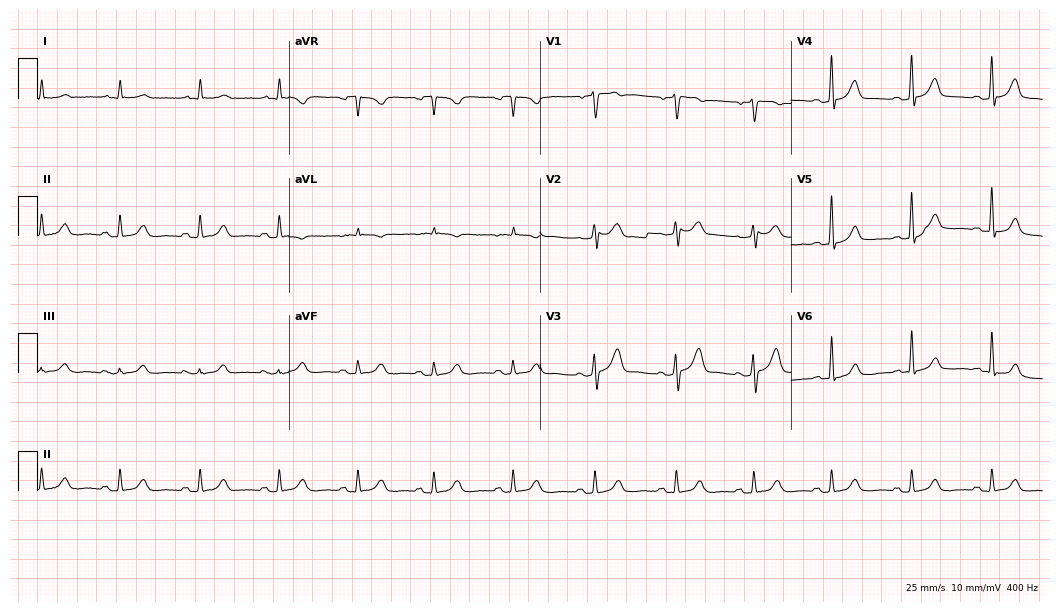
Resting 12-lead electrocardiogram. Patient: a 64-year-old male. Read as a normal ECG.